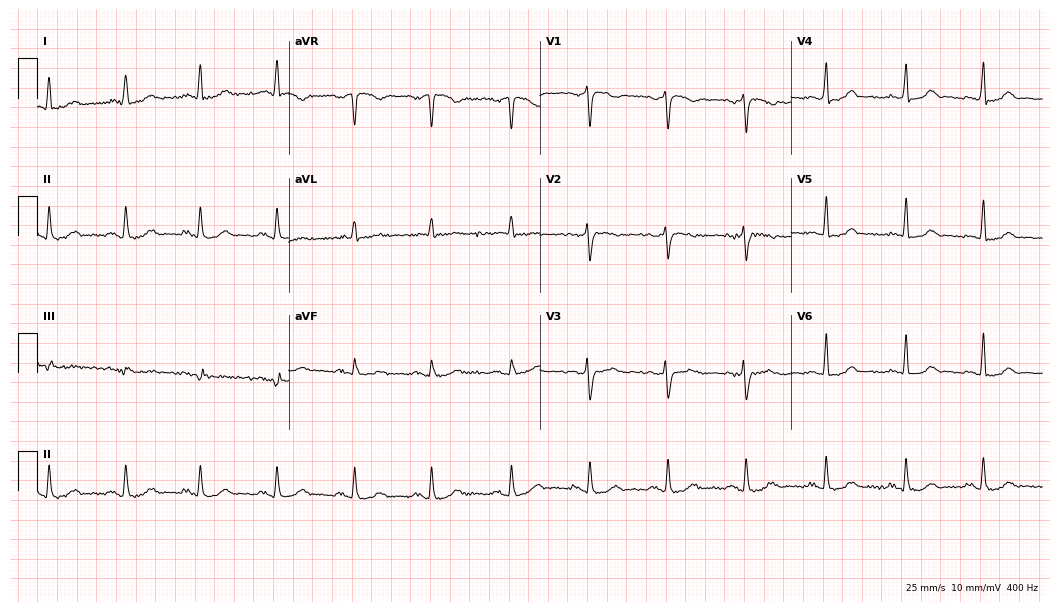
Resting 12-lead electrocardiogram (10.2-second recording at 400 Hz). Patient: a 46-year-old female. Read as a normal ECG.